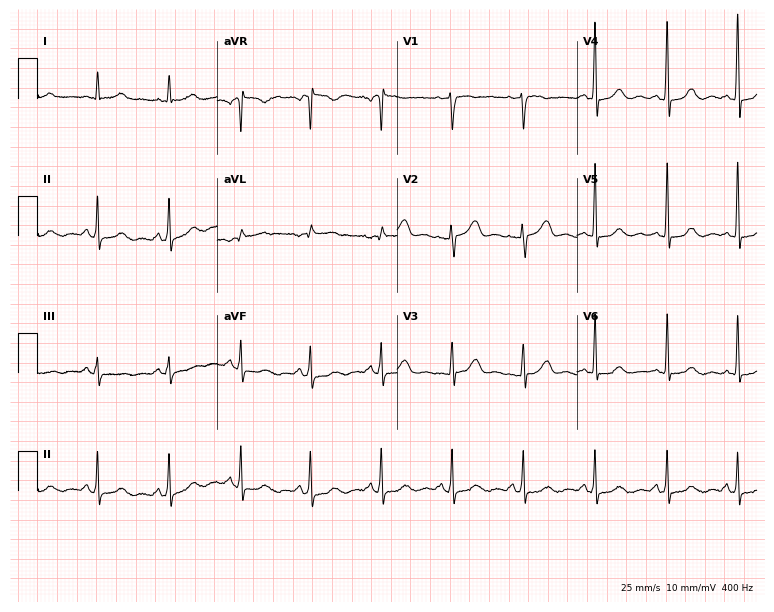
ECG — a 46-year-old female patient. Screened for six findings — first-degree AV block, right bundle branch block, left bundle branch block, sinus bradycardia, atrial fibrillation, sinus tachycardia — none is recorded.